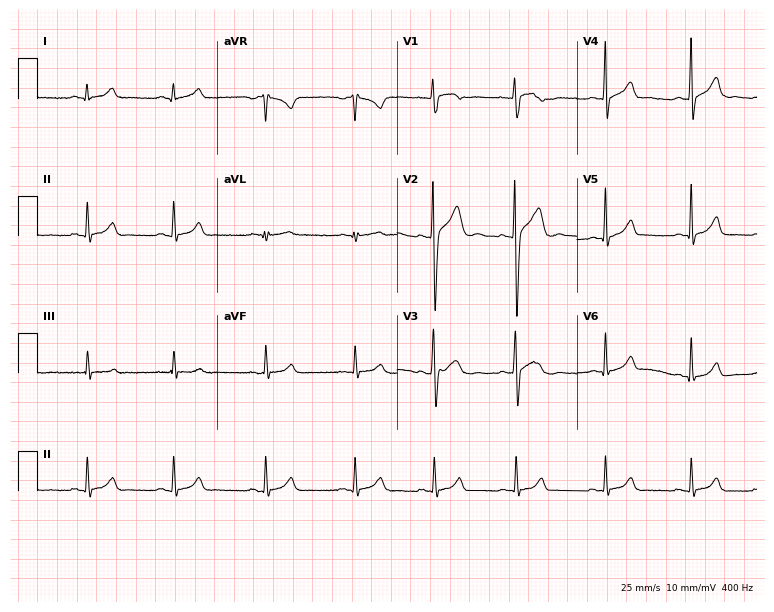
ECG — a male patient, 17 years old. Labelled as a normal ECG.